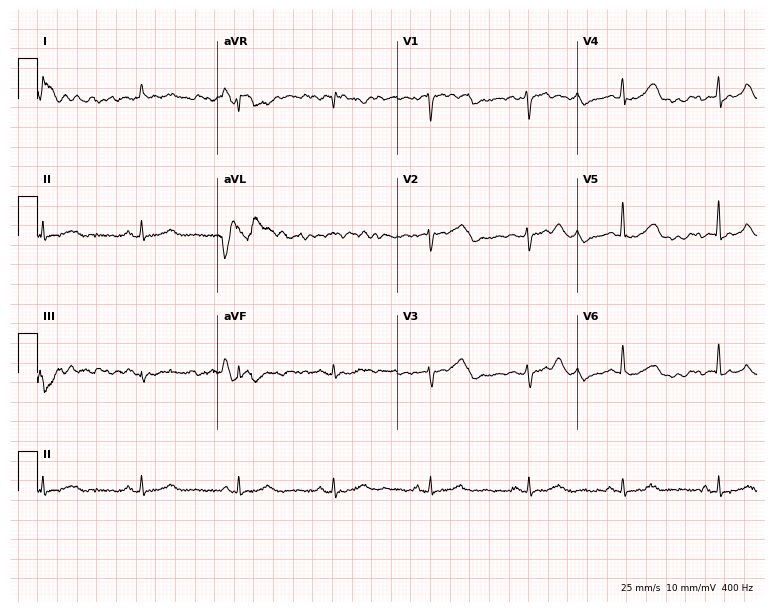
12-lead ECG (7.3-second recording at 400 Hz) from a 40-year-old female. Screened for six findings — first-degree AV block, right bundle branch block, left bundle branch block, sinus bradycardia, atrial fibrillation, sinus tachycardia — none is recorded. Only these six findings were labelled.